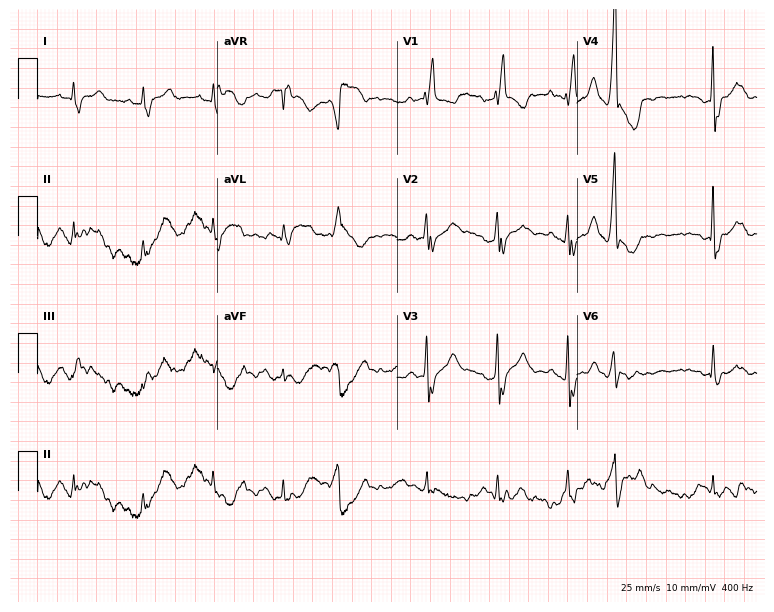
Resting 12-lead electrocardiogram. Patient: a male, 48 years old. The tracing shows right bundle branch block.